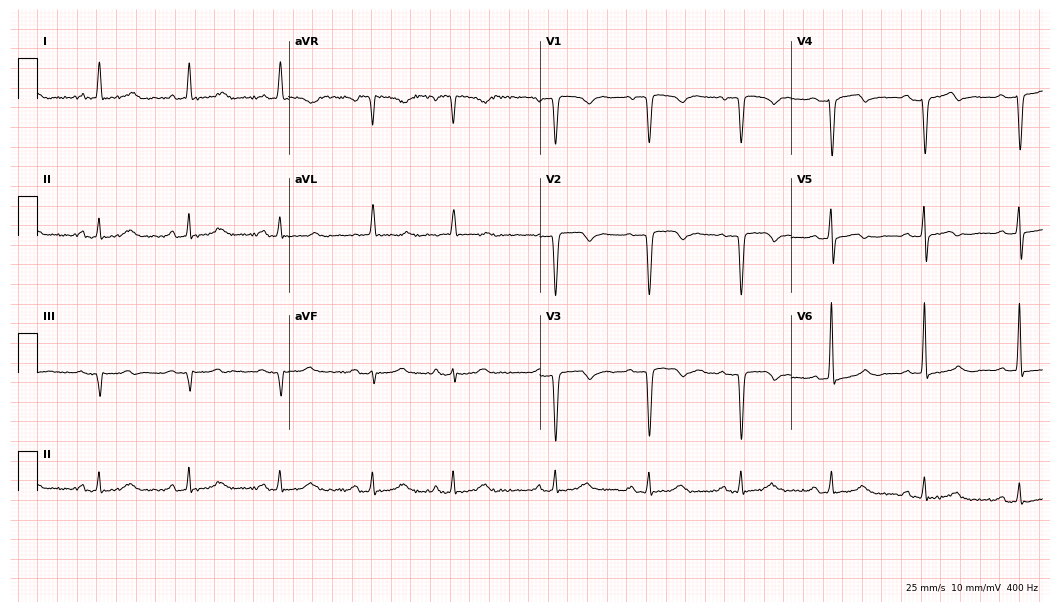
Electrocardiogram (10.2-second recording at 400 Hz), a female patient, 77 years old. Of the six screened findings (first-degree AV block, right bundle branch block, left bundle branch block, sinus bradycardia, atrial fibrillation, sinus tachycardia), none is recorded. Findings outside these six are not listed.